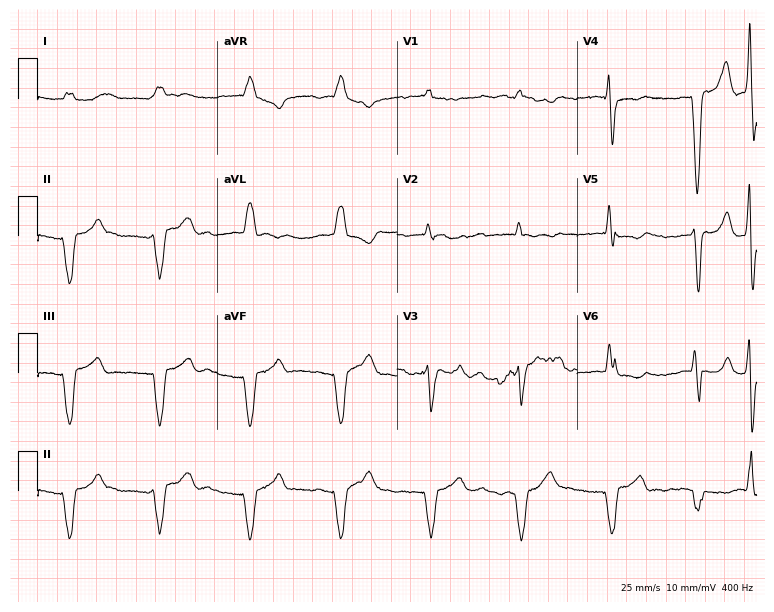
12-lead ECG from a male, 76 years old. No first-degree AV block, right bundle branch block (RBBB), left bundle branch block (LBBB), sinus bradycardia, atrial fibrillation (AF) or sinus tachycardia recorded for this tracing. Findings outside these six are not listed.